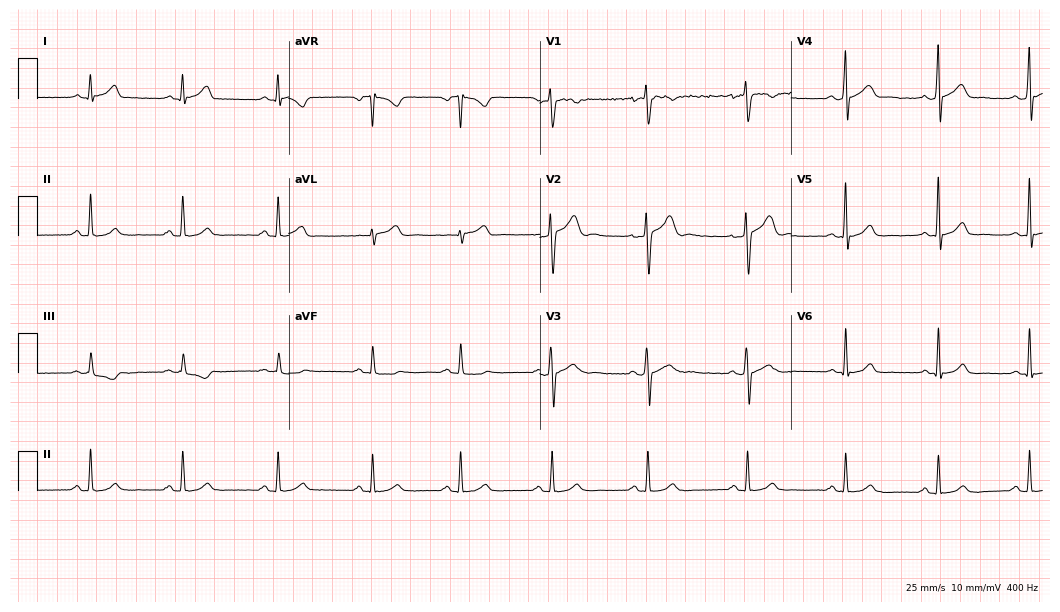
Resting 12-lead electrocardiogram. Patient: a male, 28 years old. Read as a normal ECG.